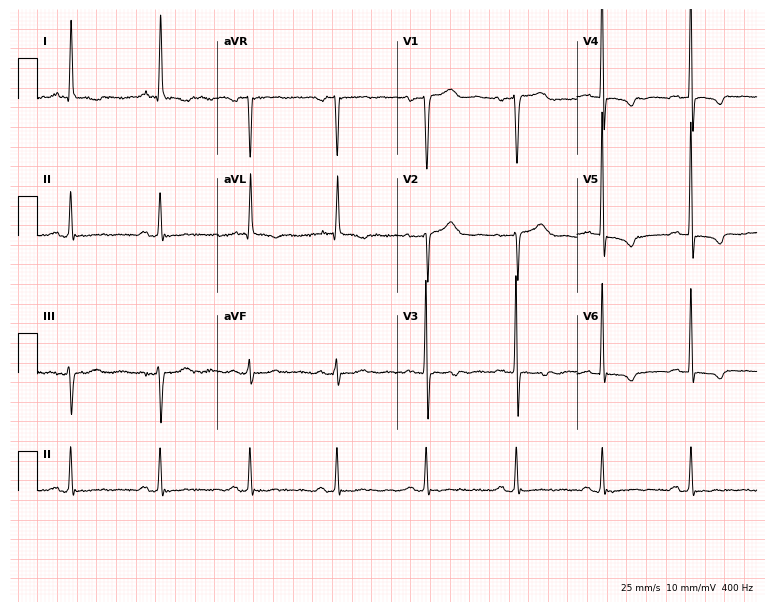
12-lead ECG from a woman, 78 years old. No first-degree AV block, right bundle branch block, left bundle branch block, sinus bradycardia, atrial fibrillation or sinus tachycardia recorded for this tracing.